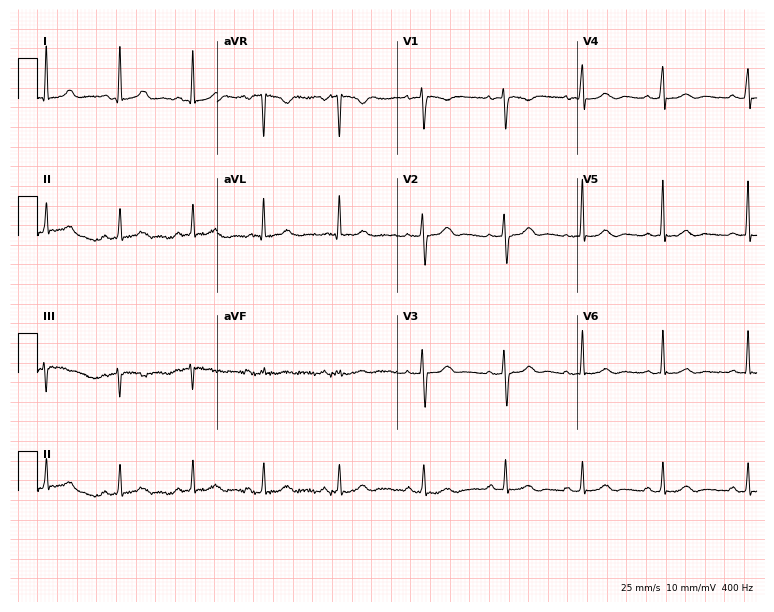
Standard 12-lead ECG recorded from a 32-year-old woman. None of these six findings is recorded: first-degree AV block, right bundle branch block (RBBB), left bundle branch block (LBBB), sinus bradycardia, atrial fibrillation (AF), sinus tachycardia.